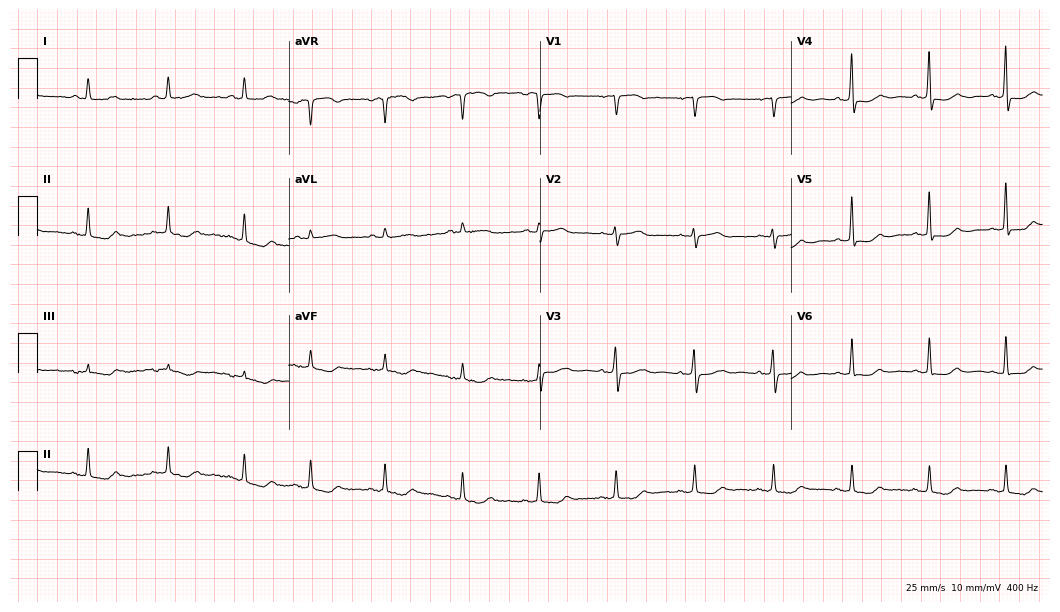
Resting 12-lead electrocardiogram. Patient: a 60-year-old woman. None of these six findings is recorded: first-degree AV block, right bundle branch block, left bundle branch block, sinus bradycardia, atrial fibrillation, sinus tachycardia.